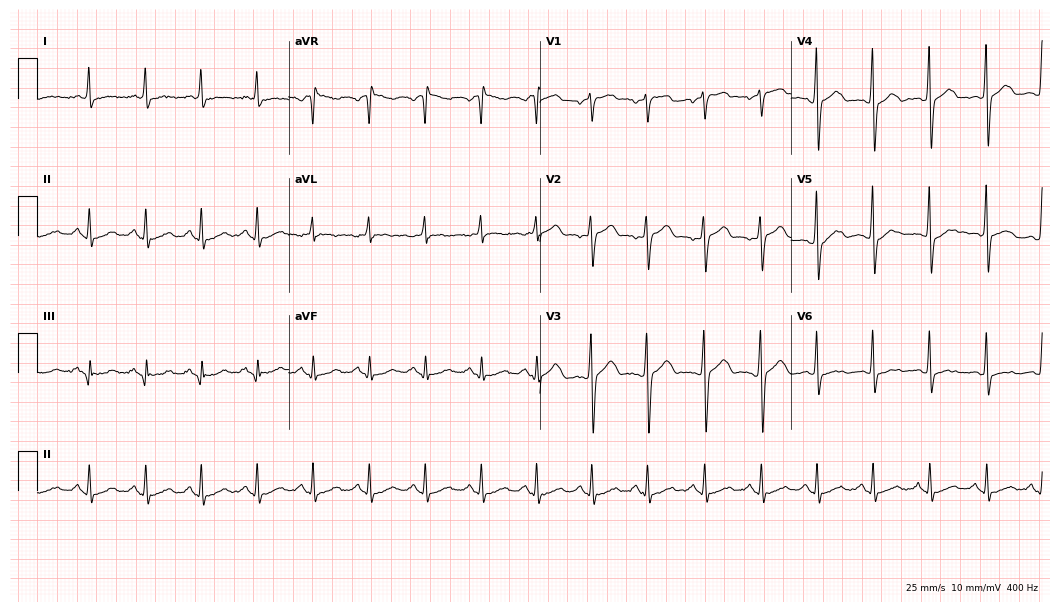
Standard 12-lead ECG recorded from a female patient, 75 years old (10.2-second recording at 400 Hz). The tracing shows sinus tachycardia (a sinus rate of 100 beats per minute or more).